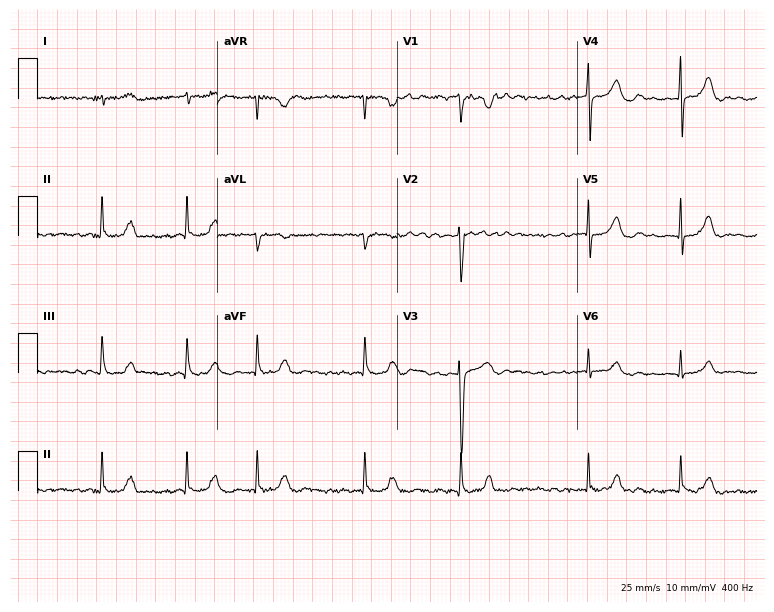
Resting 12-lead electrocardiogram (7.3-second recording at 400 Hz). Patient: a male, 76 years old. The tracing shows atrial fibrillation.